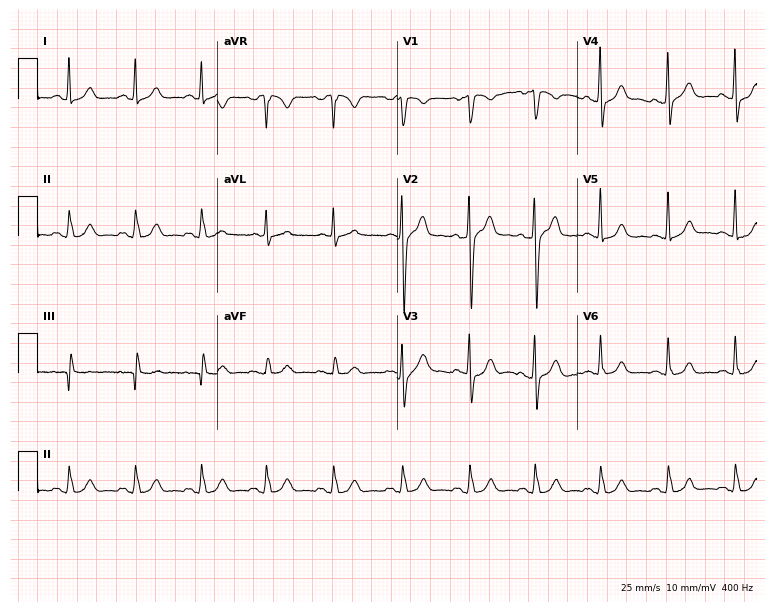
Electrocardiogram (7.3-second recording at 400 Hz), a man, 49 years old. Overall reading on record: normal ECG.